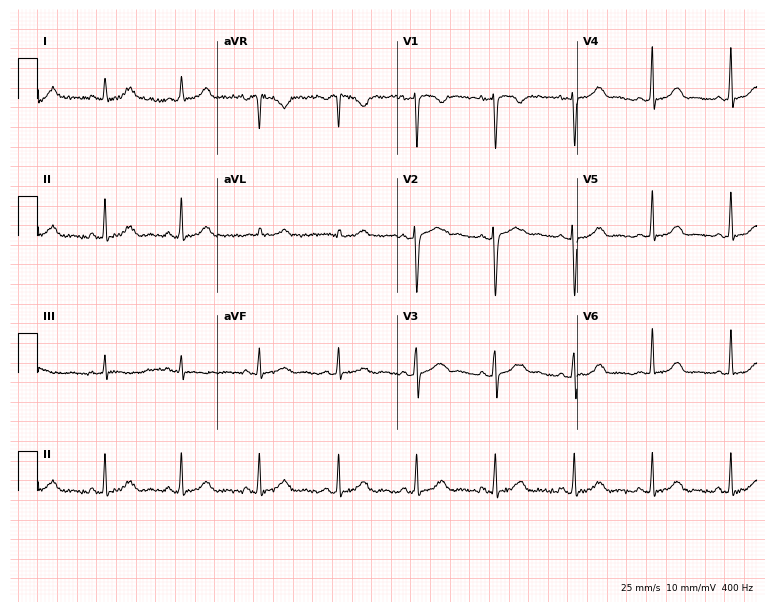
Resting 12-lead electrocardiogram (7.3-second recording at 400 Hz). Patient: a woman, 34 years old. Read as a normal ECG.